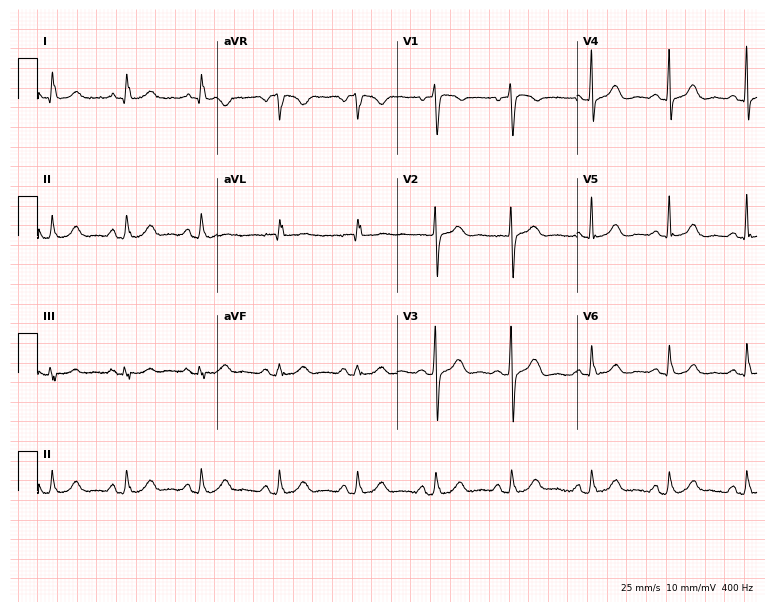
ECG — a 48-year-old female patient. Screened for six findings — first-degree AV block, right bundle branch block, left bundle branch block, sinus bradycardia, atrial fibrillation, sinus tachycardia — none is recorded.